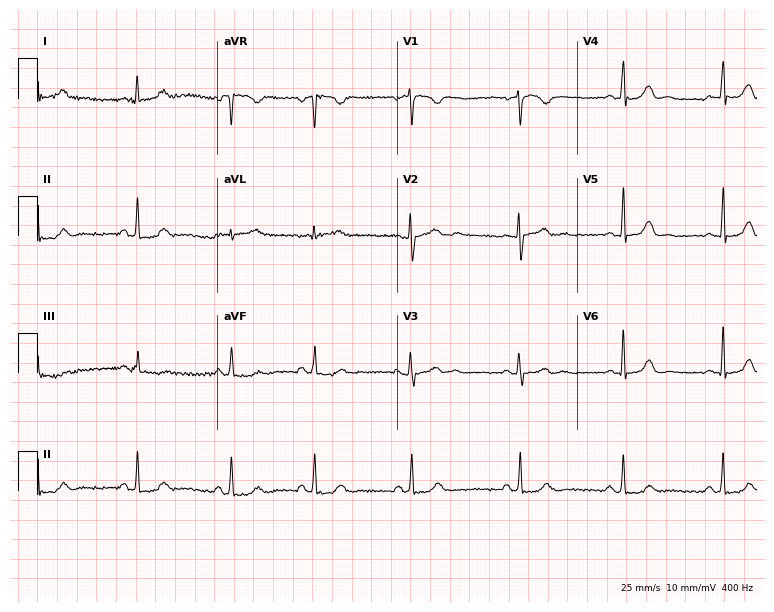
Standard 12-lead ECG recorded from a 28-year-old female. None of these six findings is recorded: first-degree AV block, right bundle branch block, left bundle branch block, sinus bradycardia, atrial fibrillation, sinus tachycardia.